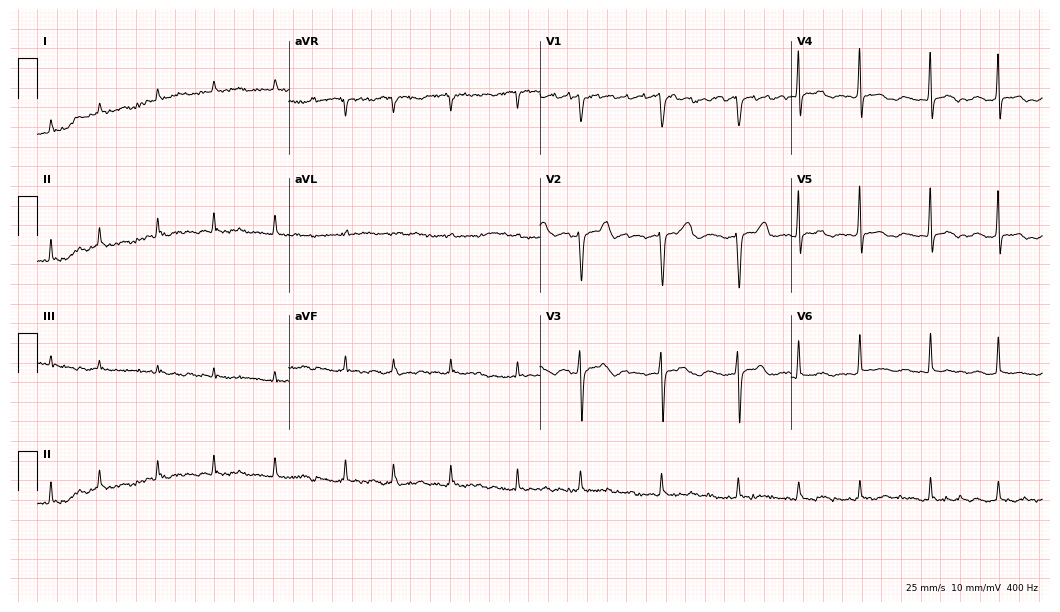
Standard 12-lead ECG recorded from a male, 75 years old (10.2-second recording at 400 Hz). The tracing shows atrial fibrillation.